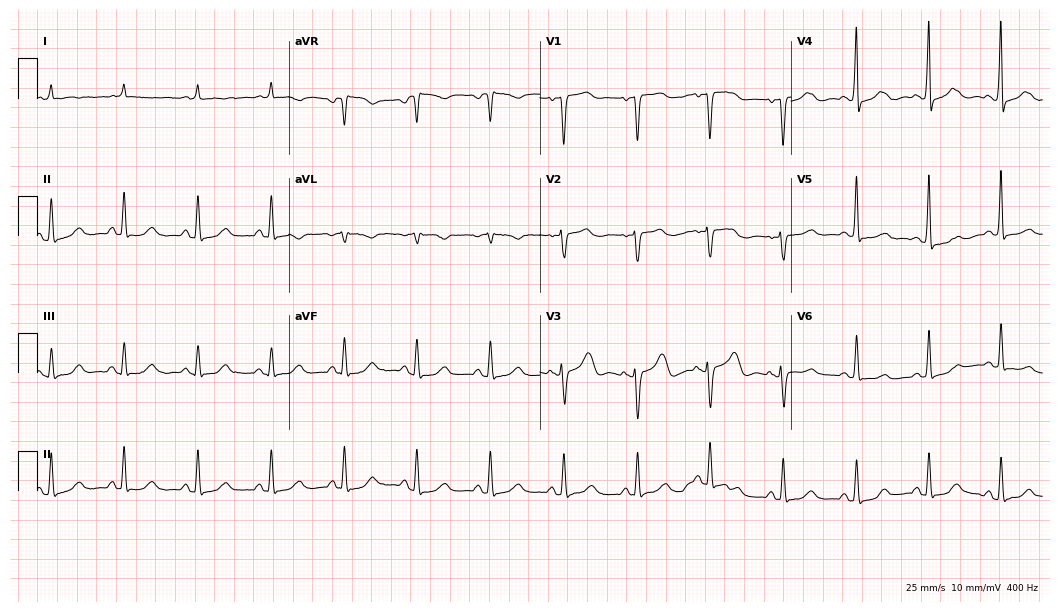
12-lead ECG from an 80-year-old female (10.2-second recording at 400 Hz). Recorded interpretation: within normal limits.